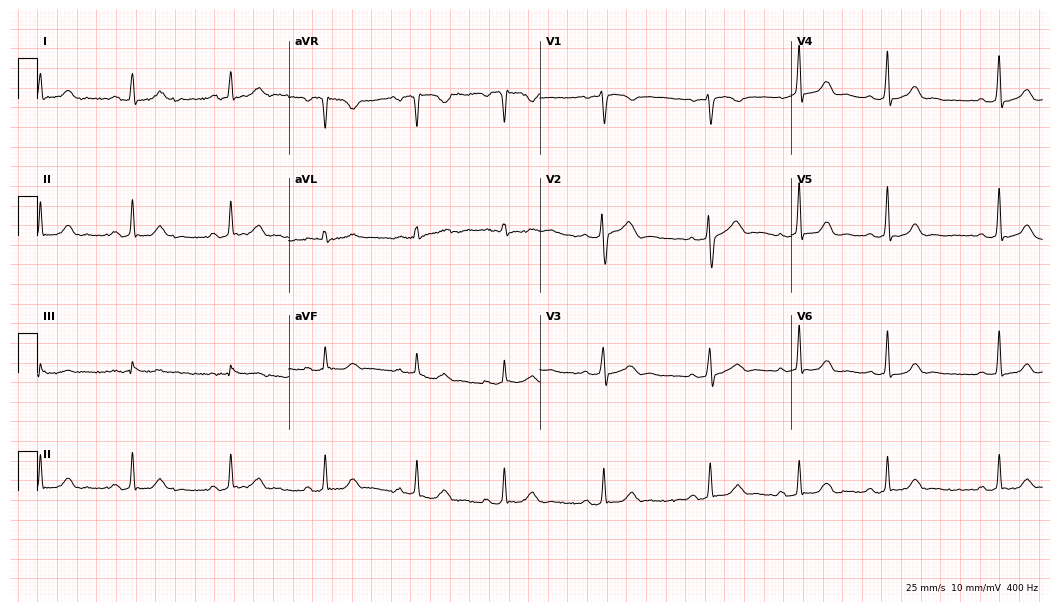
12-lead ECG from a female patient, 34 years old (10.2-second recording at 400 Hz). Recorded interpretation: within normal limits.